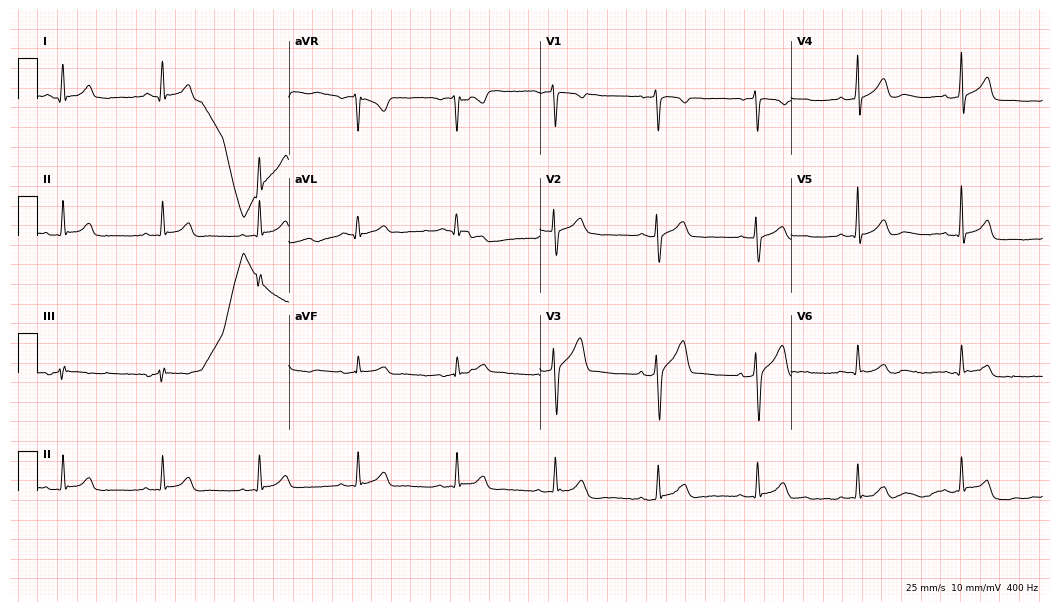
ECG — a 34-year-old male patient. Labelled as a normal ECG.